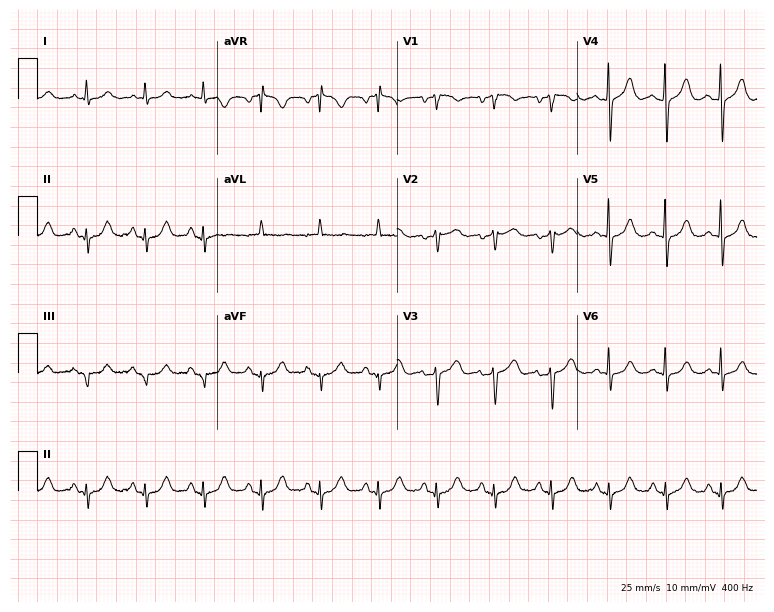
Standard 12-lead ECG recorded from a female patient, 81 years old. The tracing shows sinus tachycardia (a sinus rate of 100 beats per minute or more).